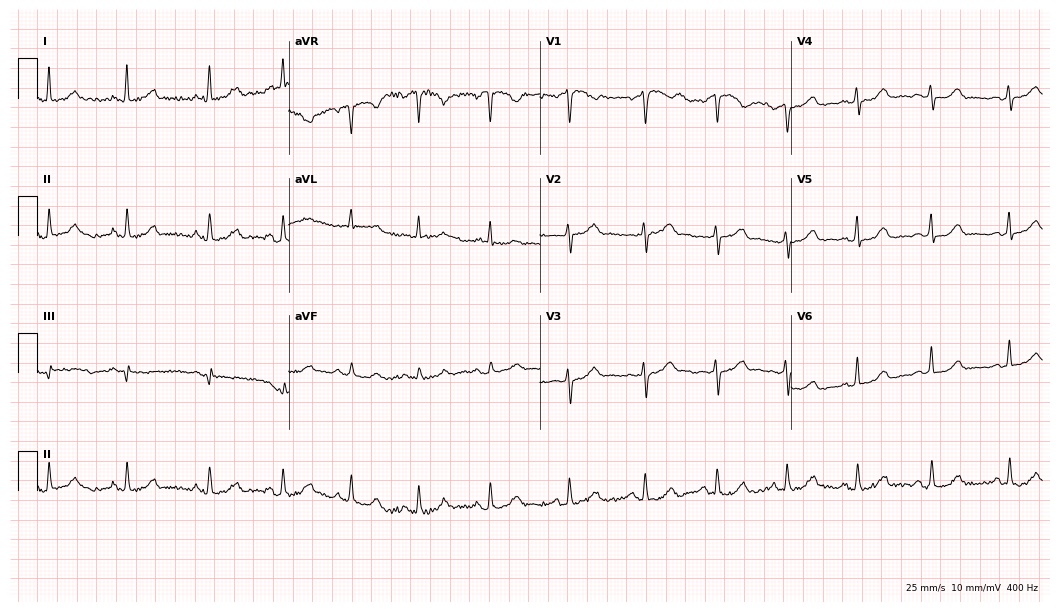
Standard 12-lead ECG recorded from a woman, 49 years old. None of these six findings is recorded: first-degree AV block, right bundle branch block, left bundle branch block, sinus bradycardia, atrial fibrillation, sinus tachycardia. Only these six findings were labelled.